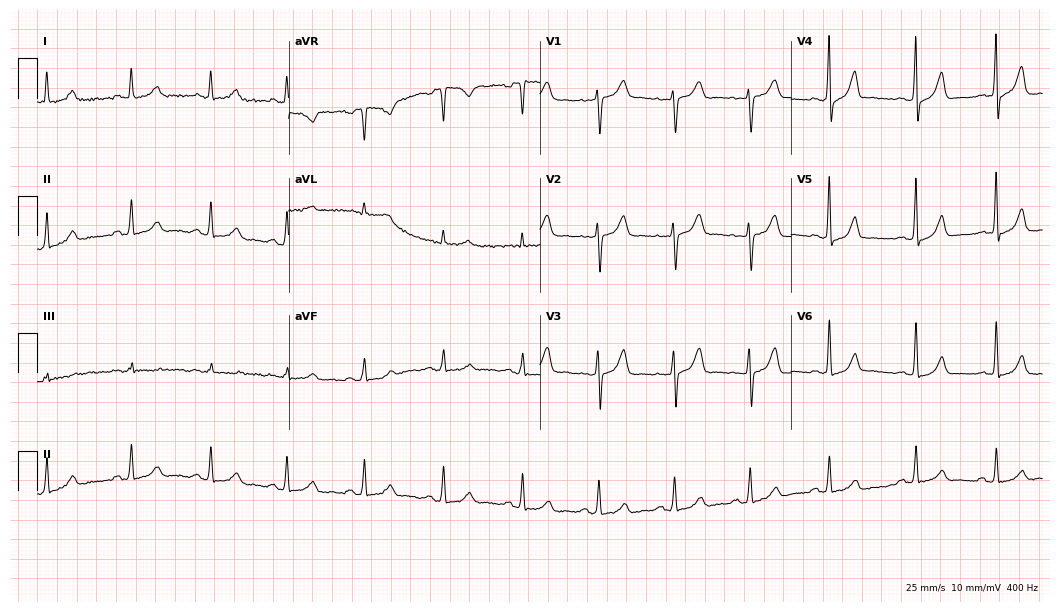
Resting 12-lead electrocardiogram. Patient: a male, 54 years old. None of these six findings is recorded: first-degree AV block, right bundle branch block, left bundle branch block, sinus bradycardia, atrial fibrillation, sinus tachycardia.